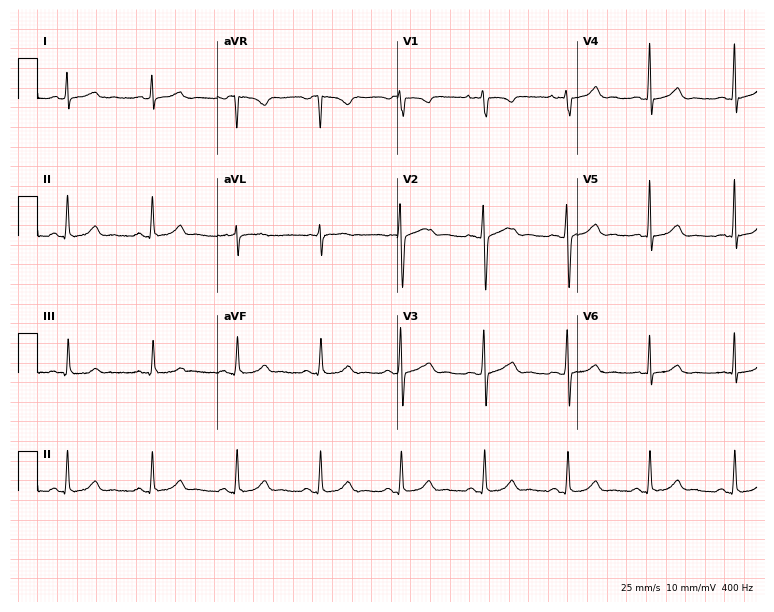
Resting 12-lead electrocardiogram. Patient: a 28-year-old female. Read as a normal ECG.